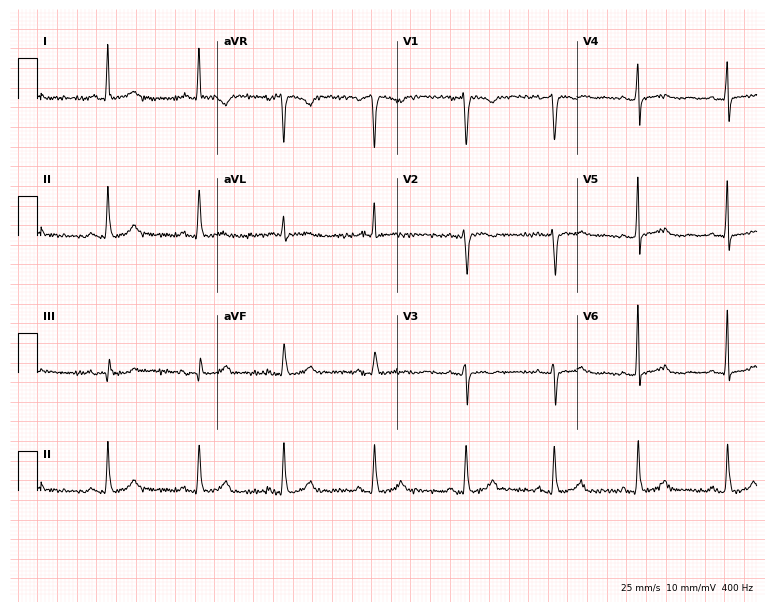
12-lead ECG from a 52-year-old female patient (7.3-second recording at 400 Hz). Recorded interpretation: within normal limits.